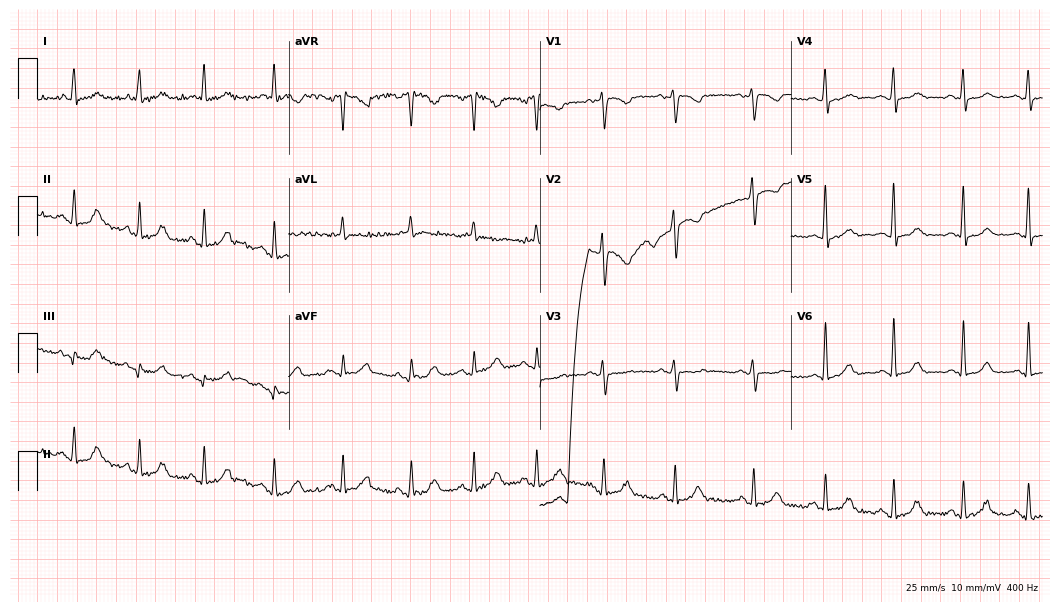
12-lead ECG from a woman, 47 years old. No first-degree AV block, right bundle branch block (RBBB), left bundle branch block (LBBB), sinus bradycardia, atrial fibrillation (AF) or sinus tachycardia recorded for this tracing. Other findings, if any, are not listed.